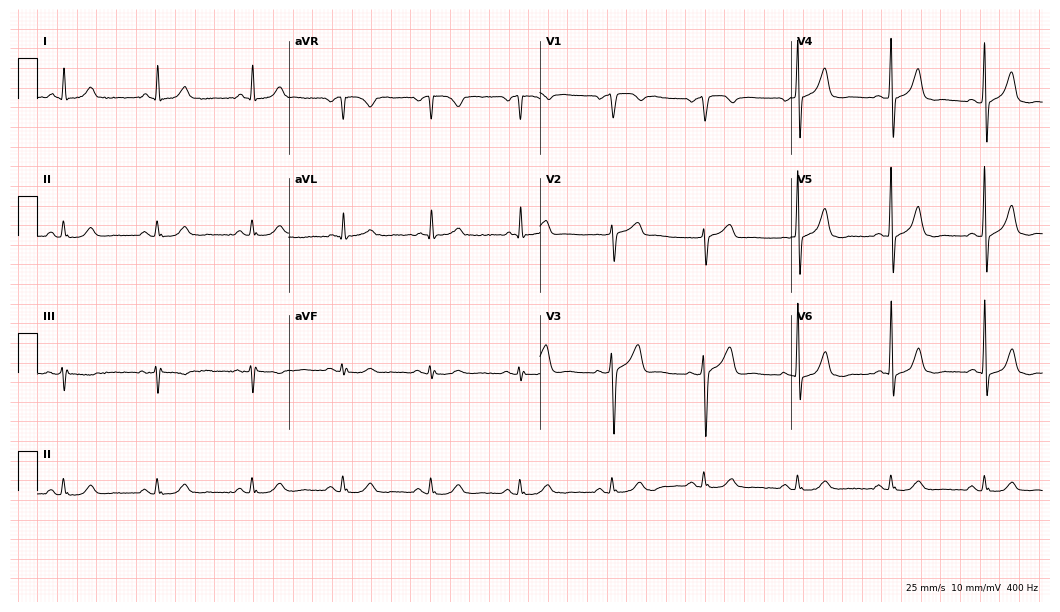
Resting 12-lead electrocardiogram (10.2-second recording at 400 Hz). Patient: a male, 70 years old. Read as a normal ECG.